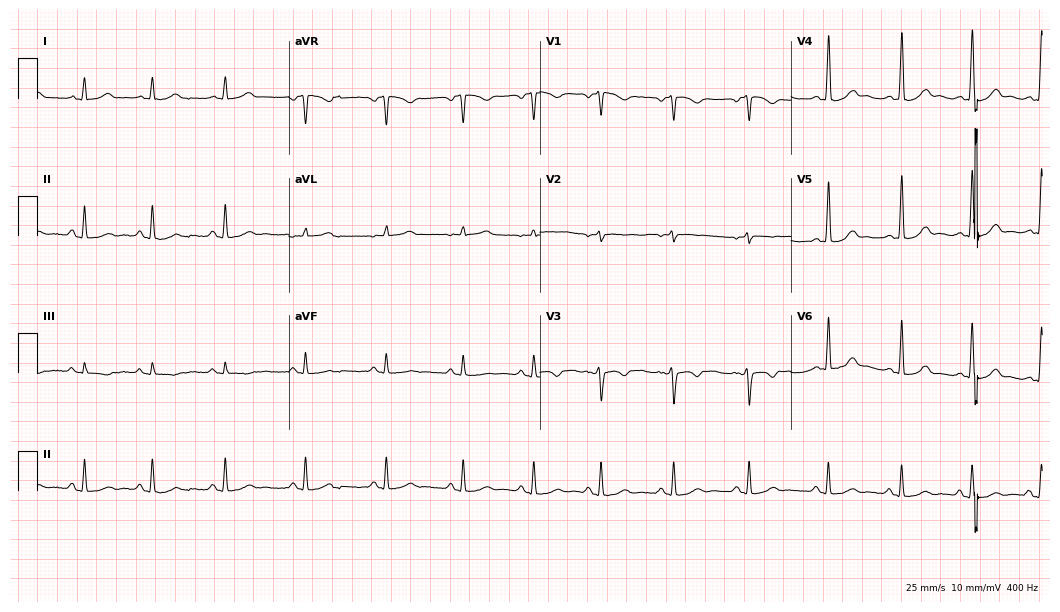
12-lead ECG from a woman, 24 years old (10.2-second recording at 400 Hz). Recorded interpretation: within normal limits.